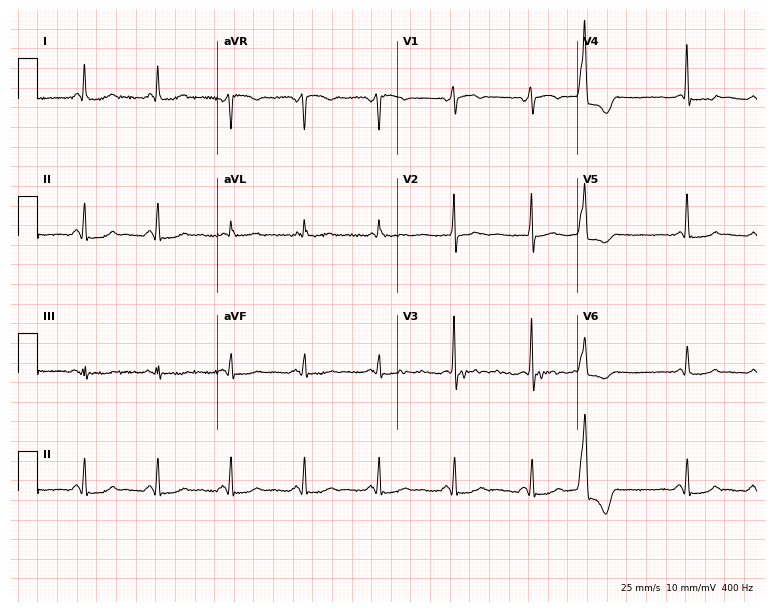
12-lead ECG (7.3-second recording at 400 Hz) from a female, 71 years old. Labelled as a normal ECG.